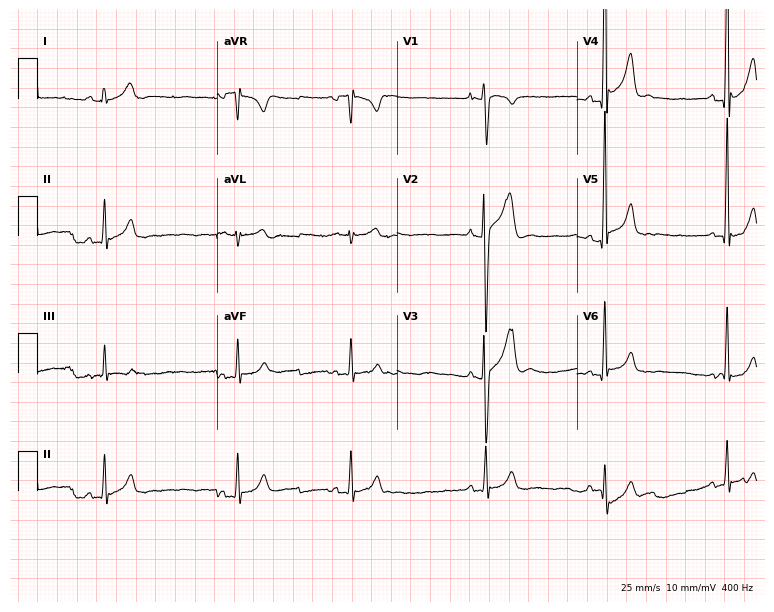
12-lead ECG (7.3-second recording at 400 Hz) from a male, 22 years old. Findings include sinus bradycardia (a sinus rate of 50 beats per minute or less).